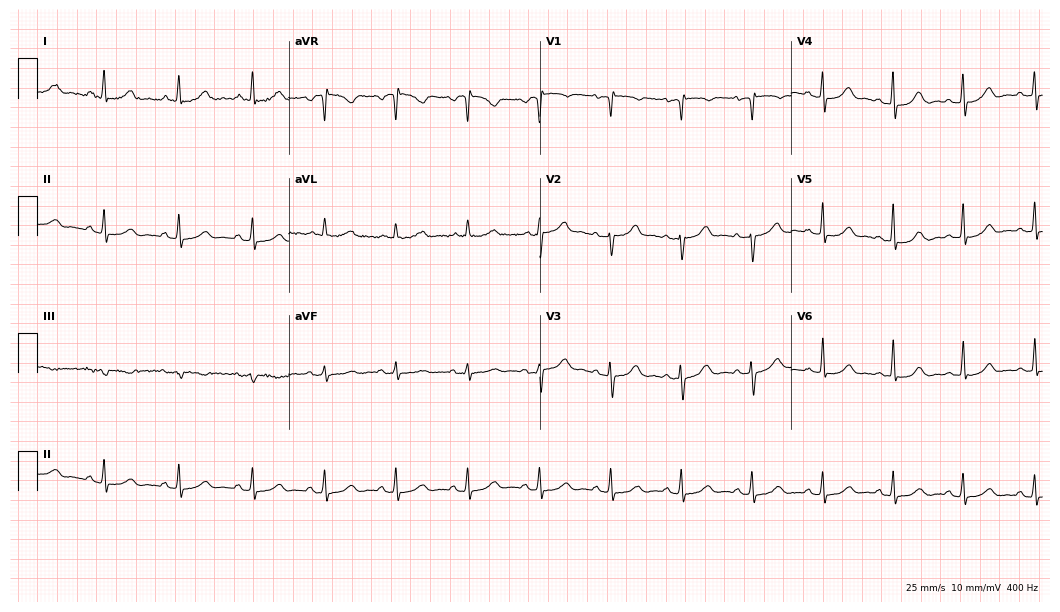
12-lead ECG (10.2-second recording at 400 Hz) from a 60-year-old woman. Labelled as a normal ECG.